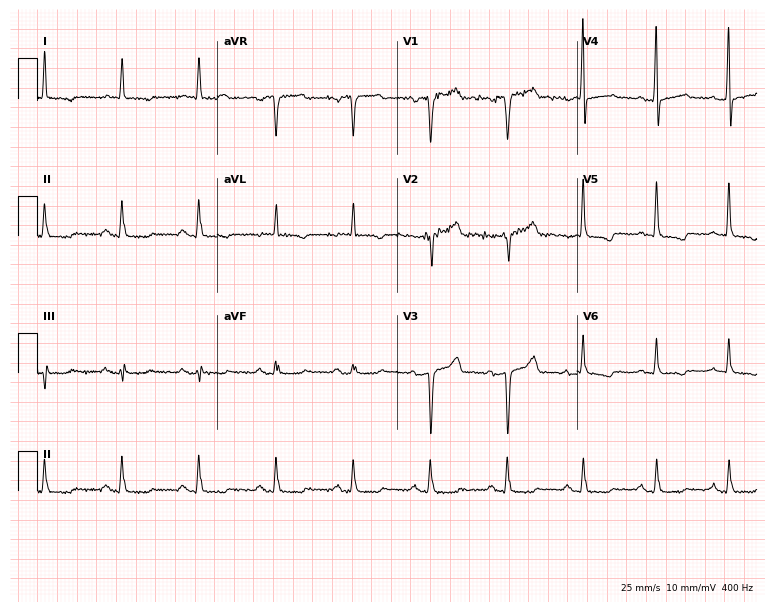
Electrocardiogram (7.3-second recording at 400 Hz), a 53-year-old male patient. Overall reading on record: normal ECG.